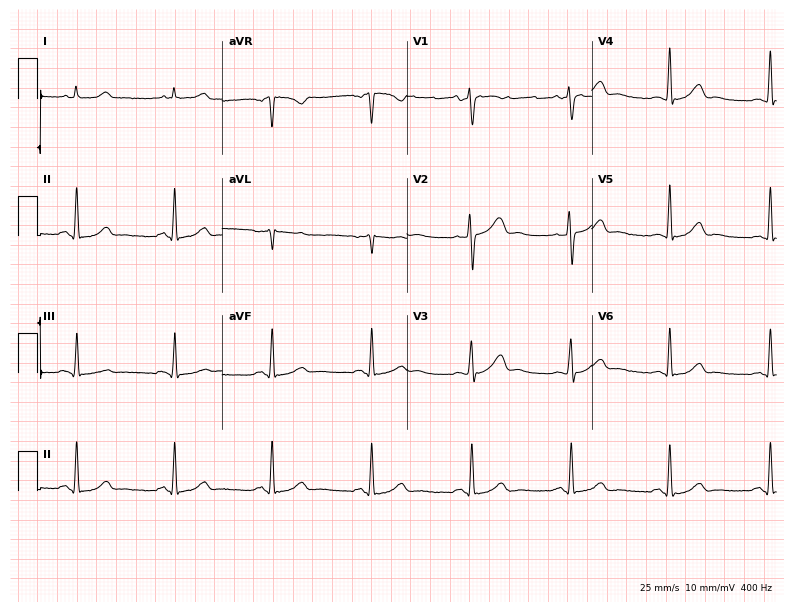
Resting 12-lead electrocardiogram (7.5-second recording at 400 Hz). Patient: a 51-year-old female. None of these six findings is recorded: first-degree AV block, right bundle branch block, left bundle branch block, sinus bradycardia, atrial fibrillation, sinus tachycardia. Only these six findings were labelled.